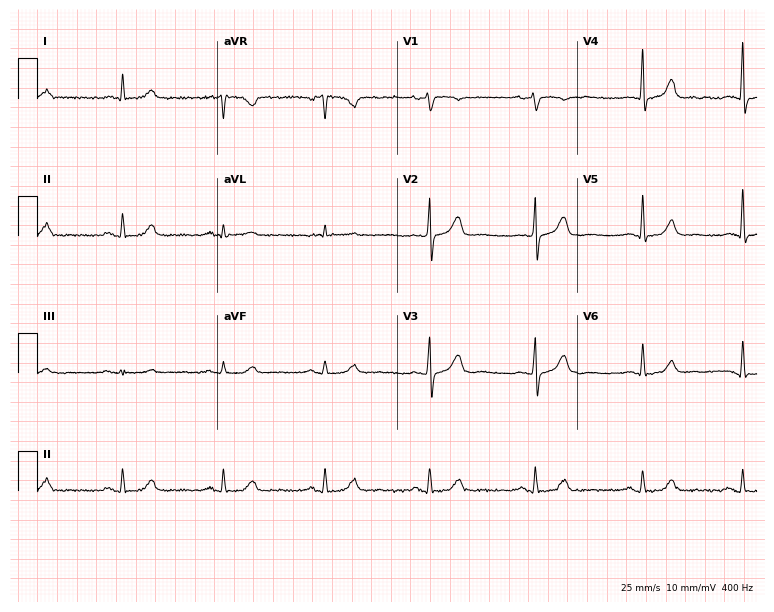
Electrocardiogram, a male, 73 years old. Overall reading on record: normal ECG.